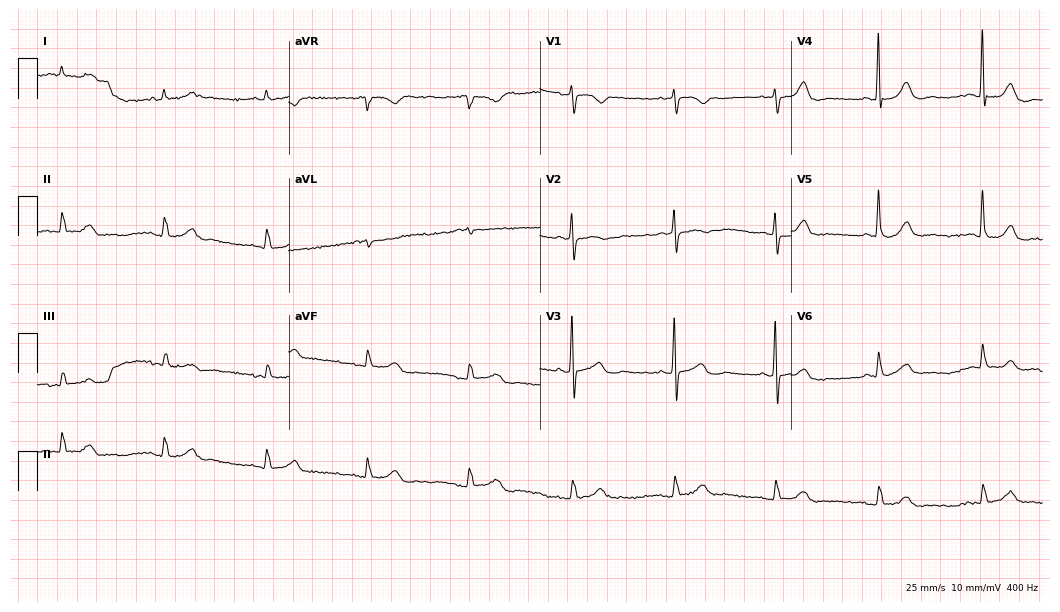
Electrocardiogram (10.2-second recording at 400 Hz), an 83-year-old male. Overall reading on record: normal ECG.